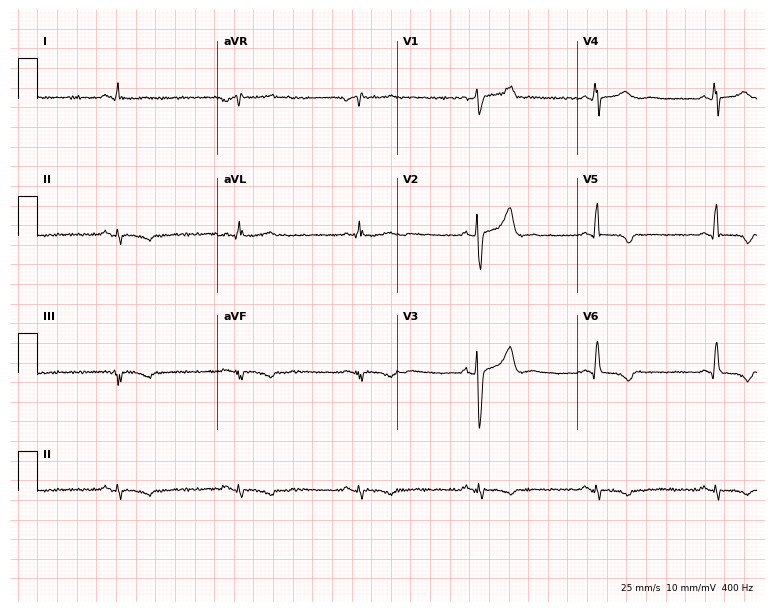
12-lead ECG from a male patient, 58 years old (7.3-second recording at 400 Hz). Shows sinus bradycardia (a sinus rate of 50 beats per minute or less).